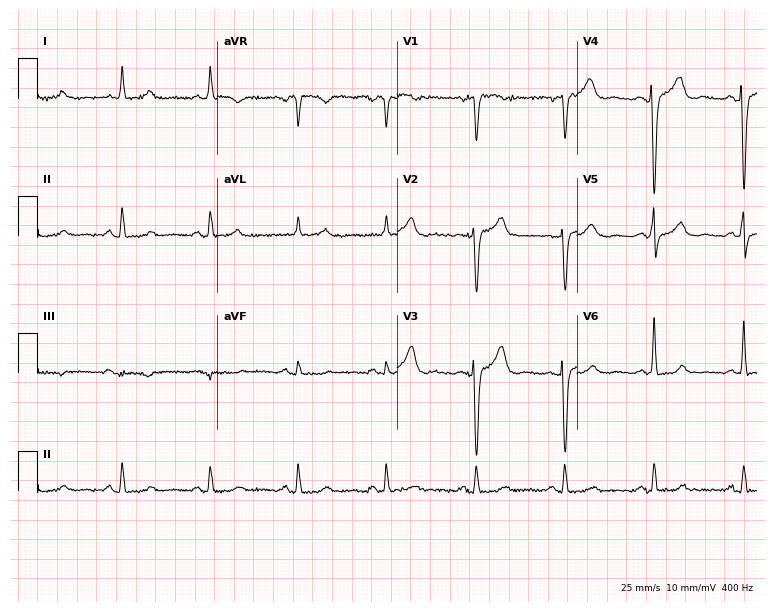
12-lead ECG from a 70-year-old female. Recorded interpretation: within normal limits.